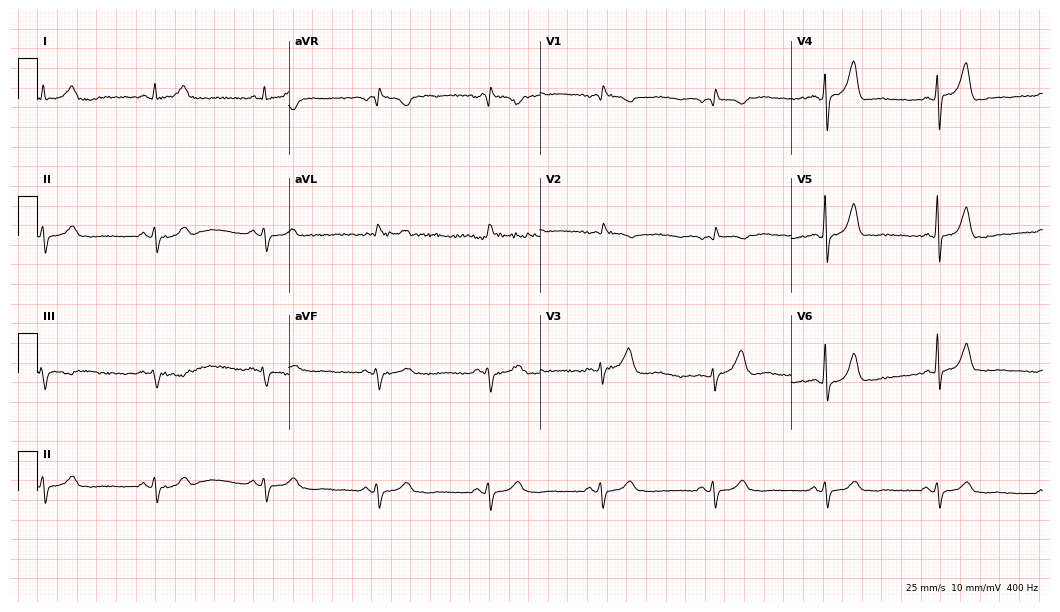
12-lead ECG from a male patient, 70 years old. Screened for six findings — first-degree AV block, right bundle branch block, left bundle branch block, sinus bradycardia, atrial fibrillation, sinus tachycardia — none is recorded.